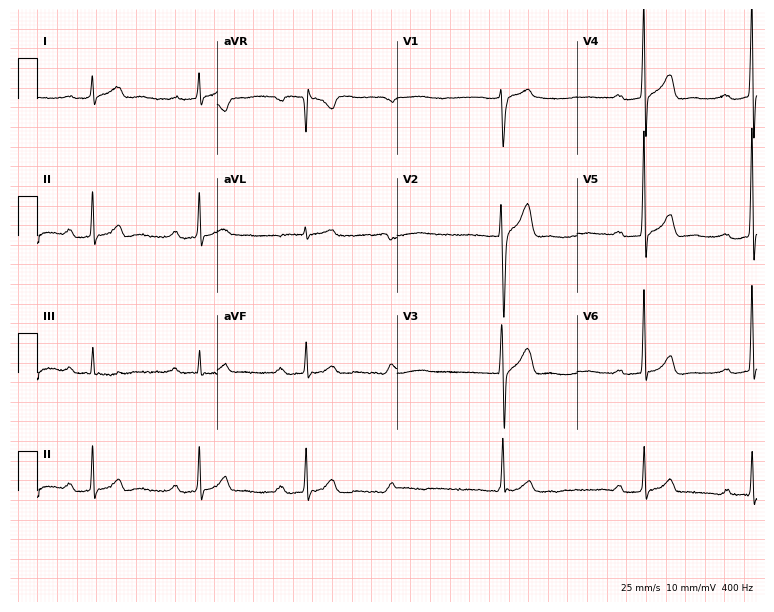
Resting 12-lead electrocardiogram. Patient: a 44-year-old man. None of these six findings is recorded: first-degree AV block, right bundle branch block, left bundle branch block, sinus bradycardia, atrial fibrillation, sinus tachycardia.